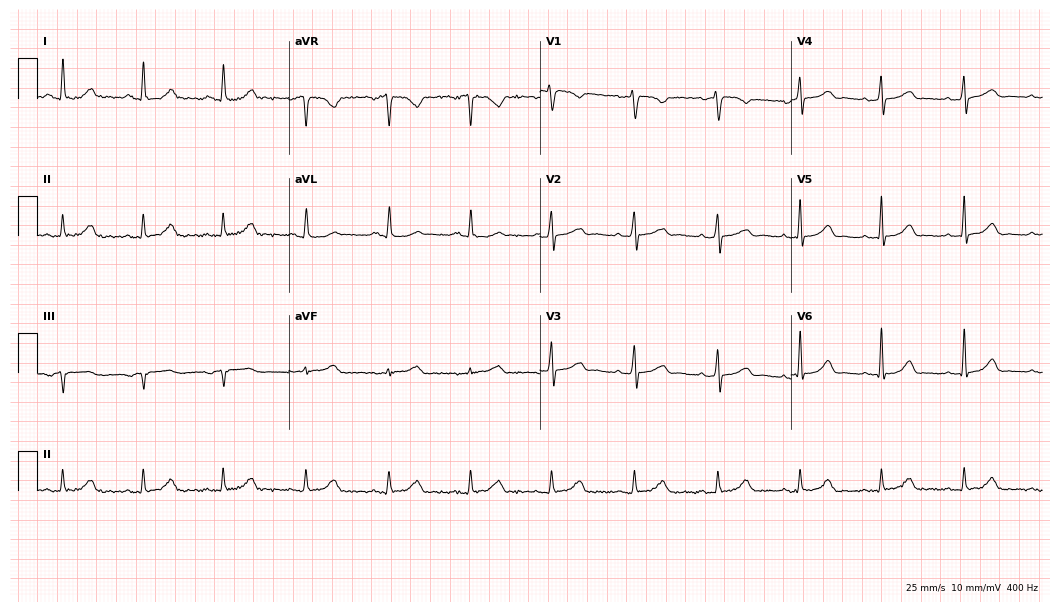
Resting 12-lead electrocardiogram. Patient: a woman, 38 years old. Read as a normal ECG.